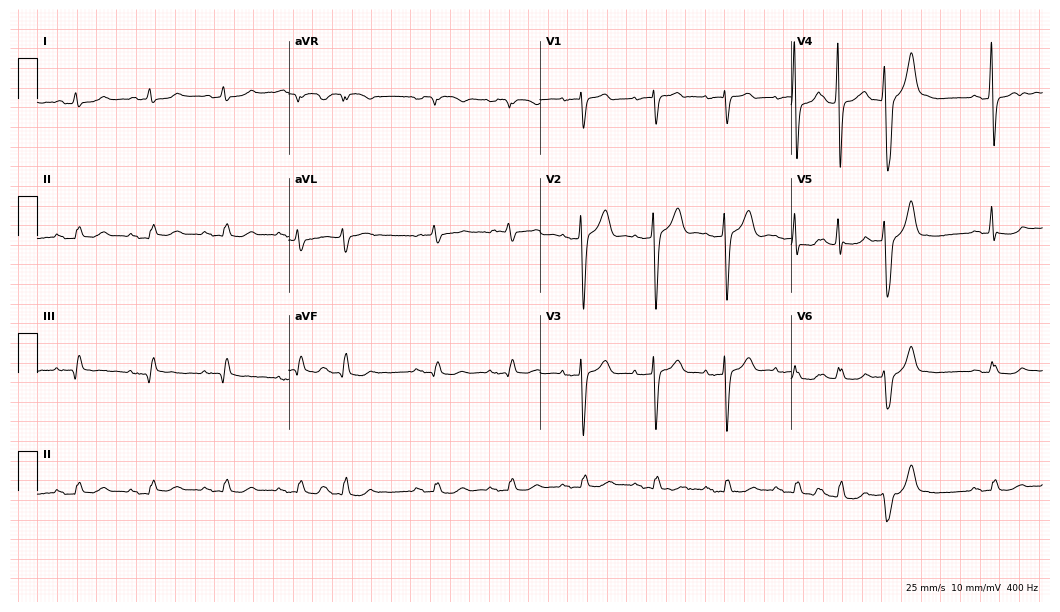
Electrocardiogram (10.2-second recording at 400 Hz), a male patient, 82 years old. Of the six screened findings (first-degree AV block, right bundle branch block, left bundle branch block, sinus bradycardia, atrial fibrillation, sinus tachycardia), none is recorded. Other findings, if any, are not listed.